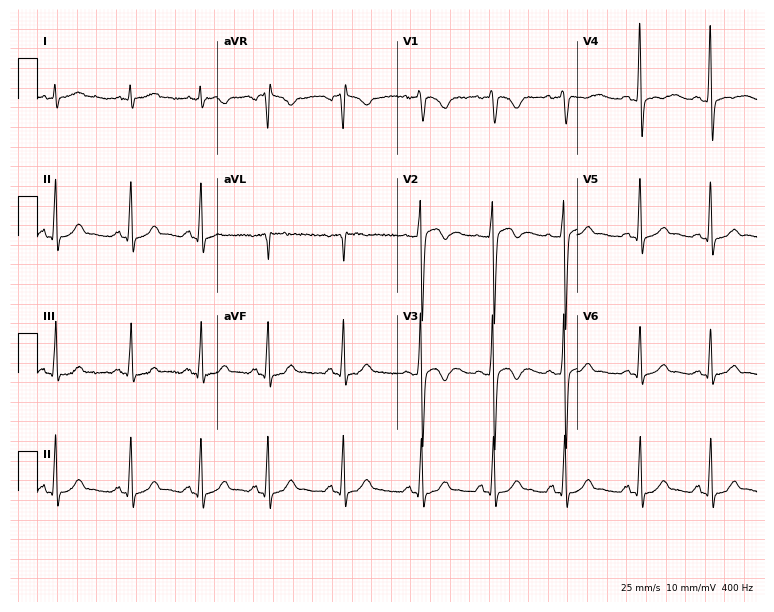
Electrocardiogram, a man, 21 years old. Overall reading on record: normal ECG.